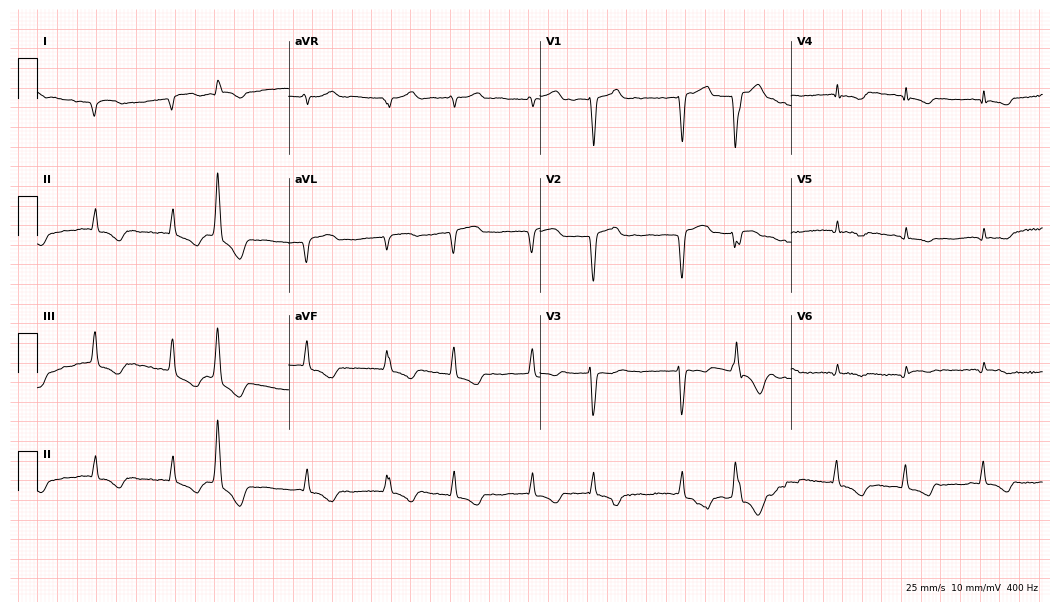
Resting 12-lead electrocardiogram (10.2-second recording at 400 Hz). Patient: a male, 72 years old. The tracing shows atrial fibrillation (AF).